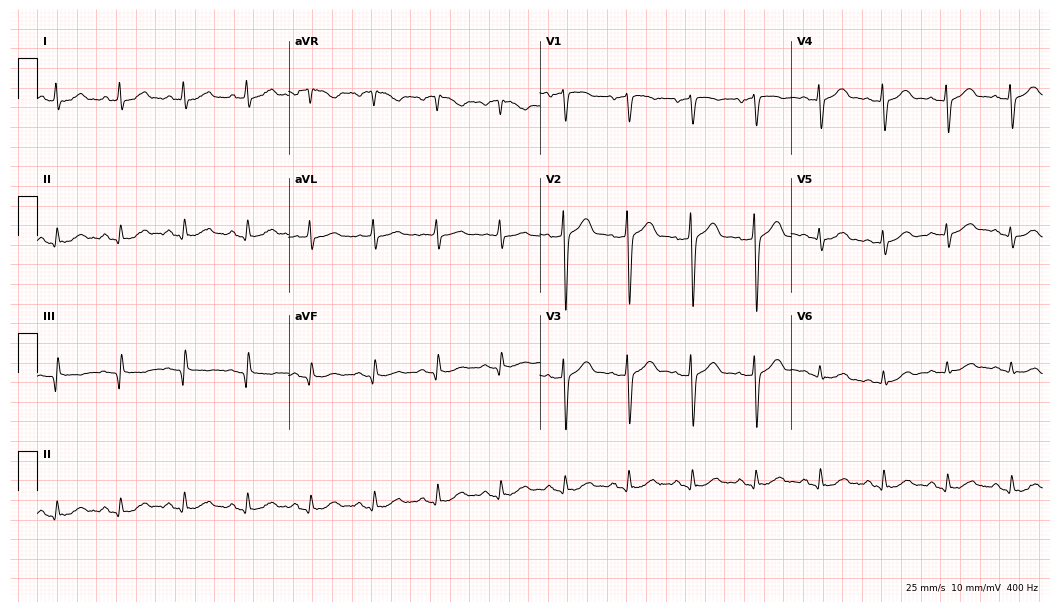
12-lead ECG from a 51-year-old man. Recorded interpretation: within normal limits.